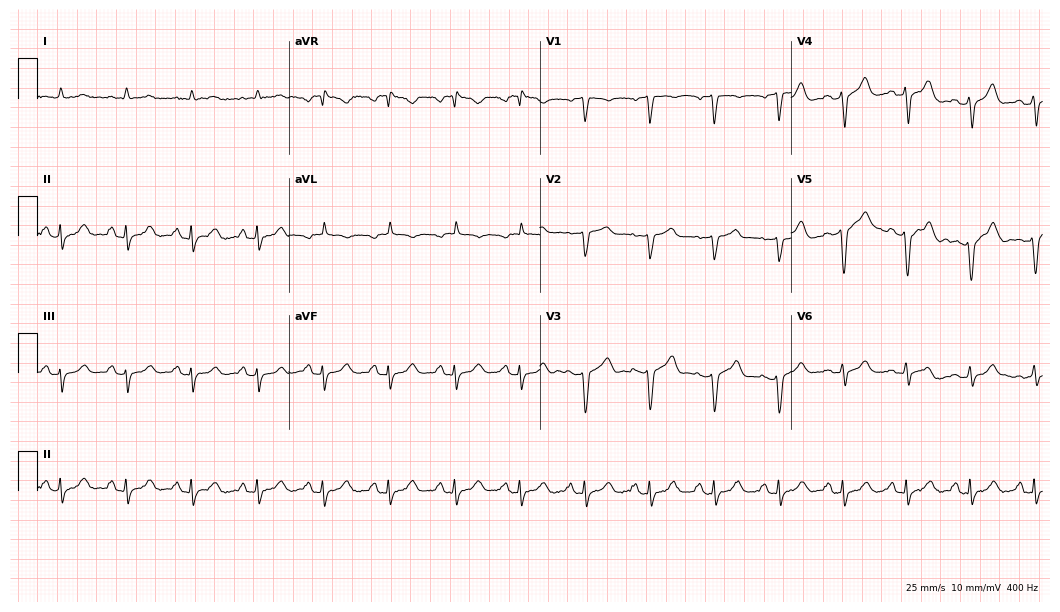
Resting 12-lead electrocardiogram. Patient: a 67-year-old male. None of these six findings is recorded: first-degree AV block, right bundle branch block, left bundle branch block, sinus bradycardia, atrial fibrillation, sinus tachycardia.